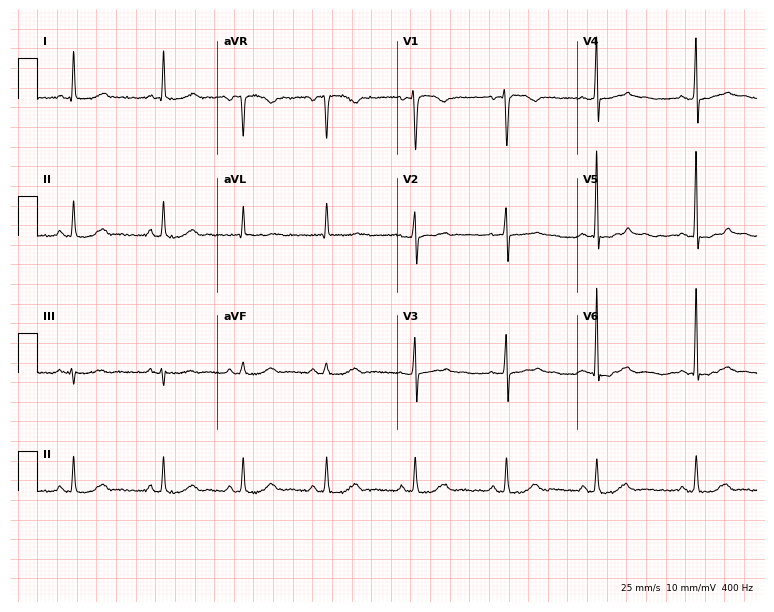
Resting 12-lead electrocardiogram (7.3-second recording at 400 Hz). Patient: a female, 50 years old. None of these six findings is recorded: first-degree AV block, right bundle branch block, left bundle branch block, sinus bradycardia, atrial fibrillation, sinus tachycardia.